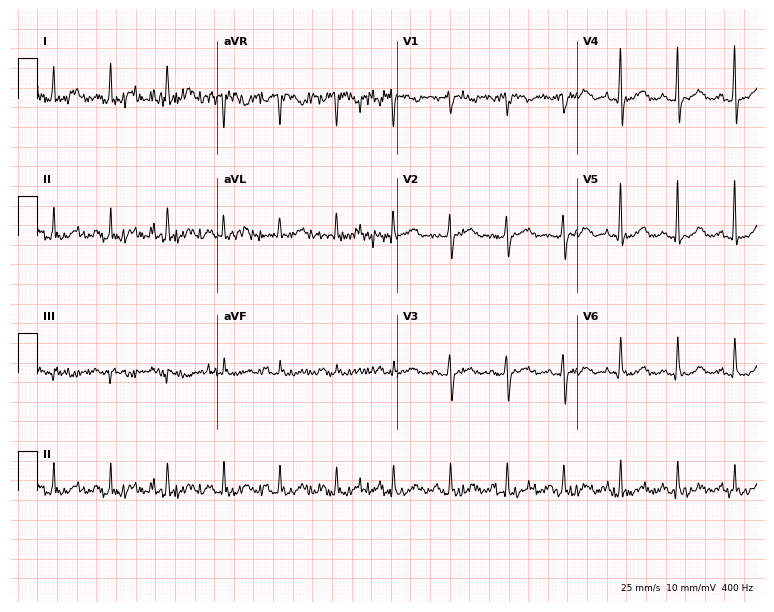
Standard 12-lead ECG recorded from a woman, 65 years old (7.3-second recording at 400 Hz). None of these six findings is recorded: first-degree AV block, right bundle branch block (RBBB), left bundle branch block (LBBB), sinus bradycardia, atrial fibrillation (AF), sinus tachycardia.